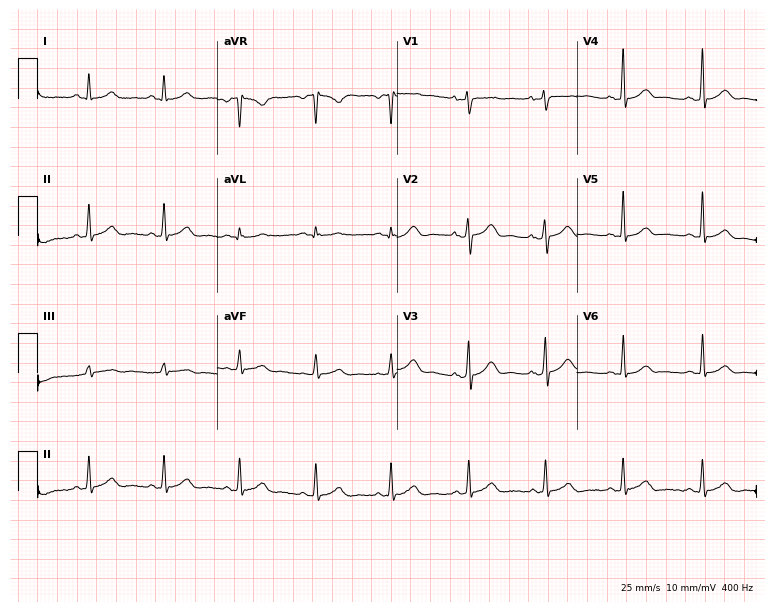
12-lead ECG (7.3-second recording at 400 Hz) from a 38-year-old female. Screened for six findings — first-degree AV block, right bundle branch block, left bundle branch block, sinus bradycardia, atrial fibrillation, sinus tachycardia — none is recorded.